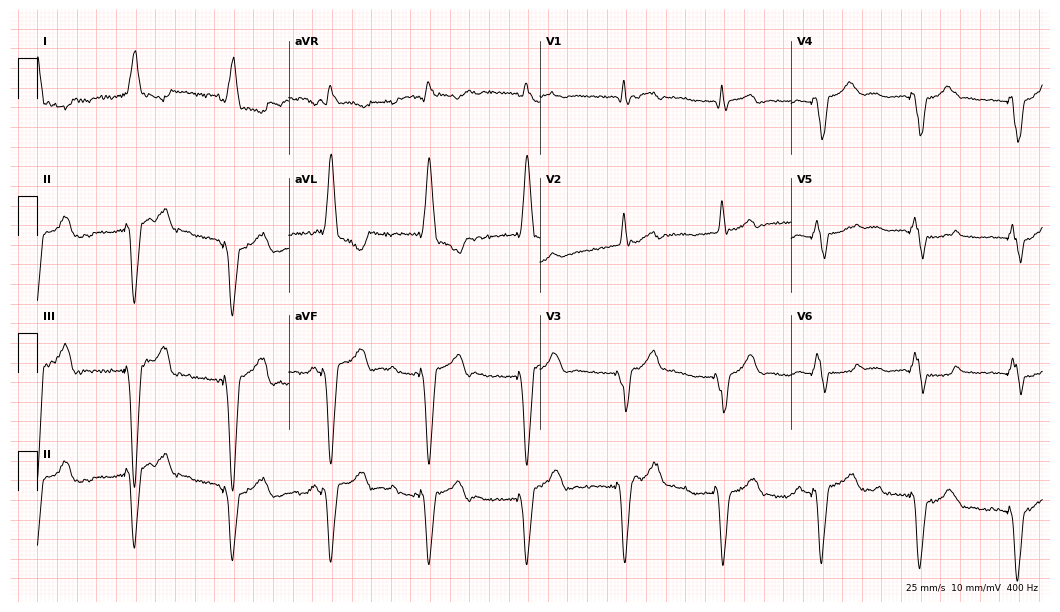
ECG (10.2-second recording at 400 Hz) — a female patient, 83 years old. Screened for six findings — first-degree AV block, right bundle branch block (RBBB), left bundle branch block (LBBB), sinus bradycardia, atrial fibrillation (AF), sinus tachycardia — none is recorded.